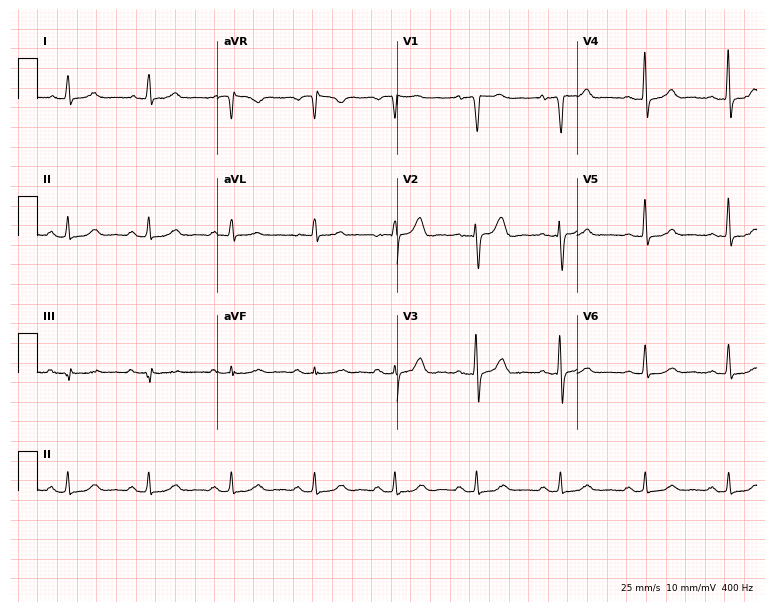
12-lead ECG (7.3-second recording at 400 Hz) from a female, 45 years old. Labelled as a normal ECG.